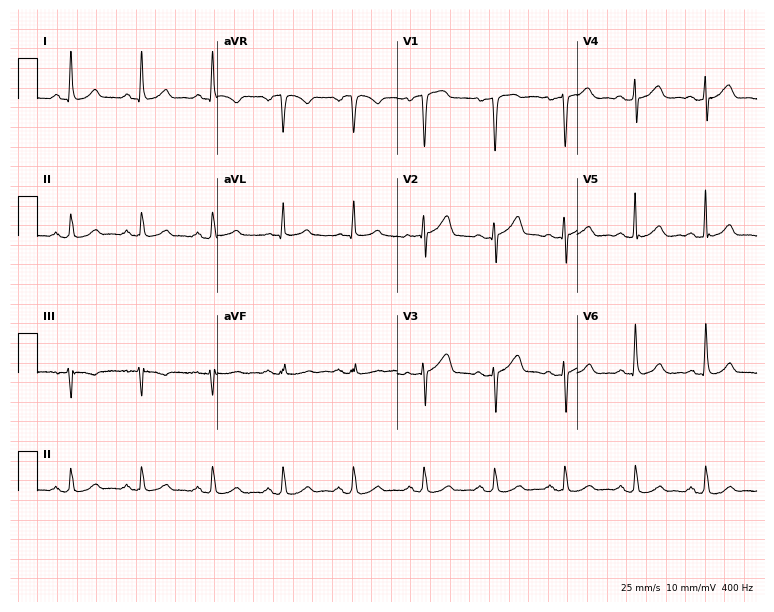
Standard 12-lead ECG recorded from a 61-year-old female patient. Read as a normal ECG.